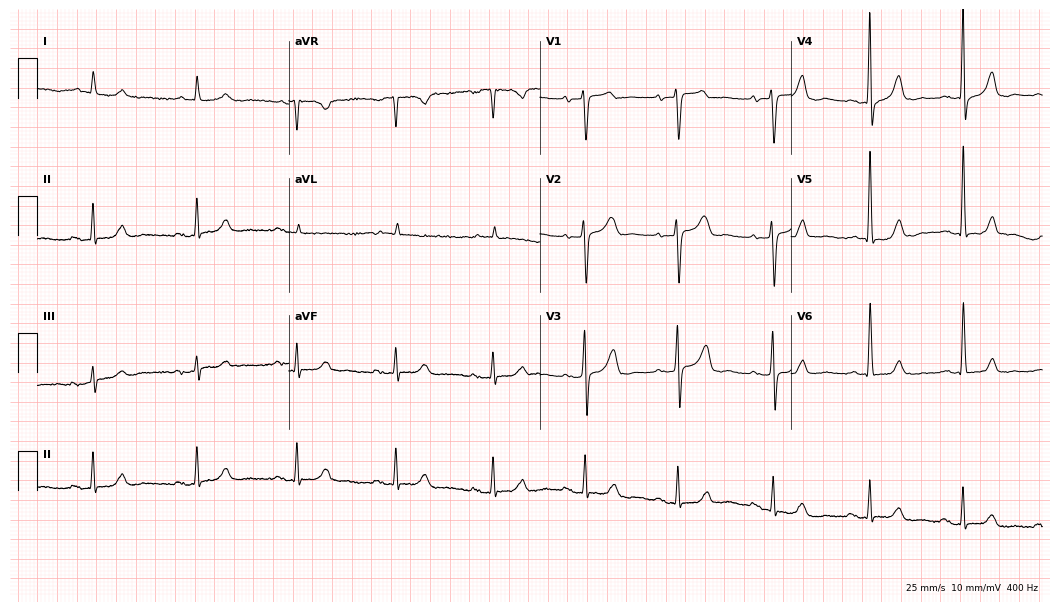
12-lead ECG from a woman, 69 years old. Recorded interpretation: within normal limits.